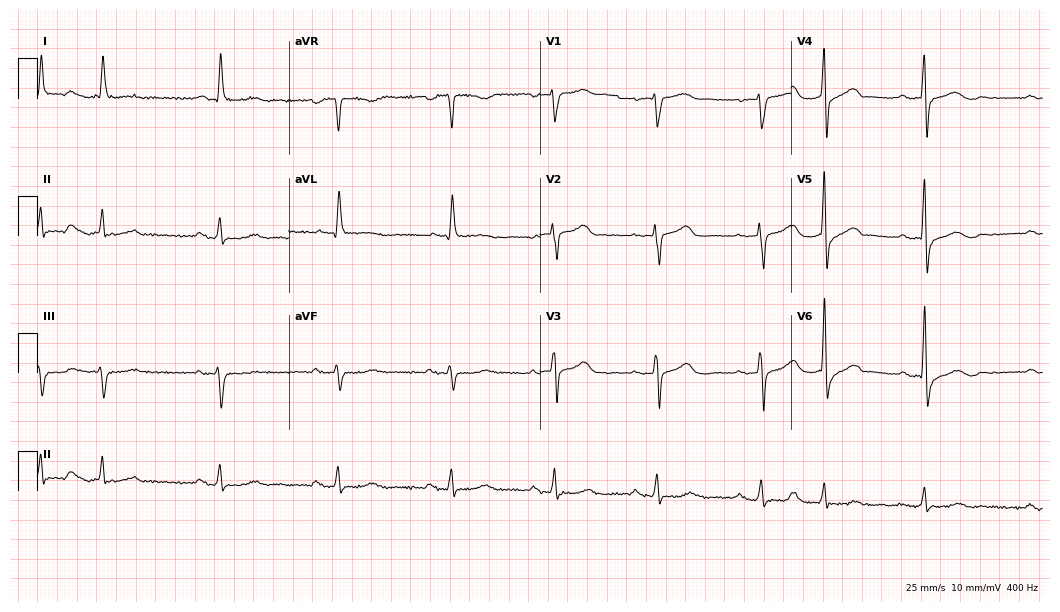
ECG — a man, 76 years old. Screened for six findings — first-degree AV block, right bundle branch block (RBBB), left bundle branch block (LBBB), sinus bradycardia, atrial fibrillation (AF), sinus tachycardia — none is recorded.